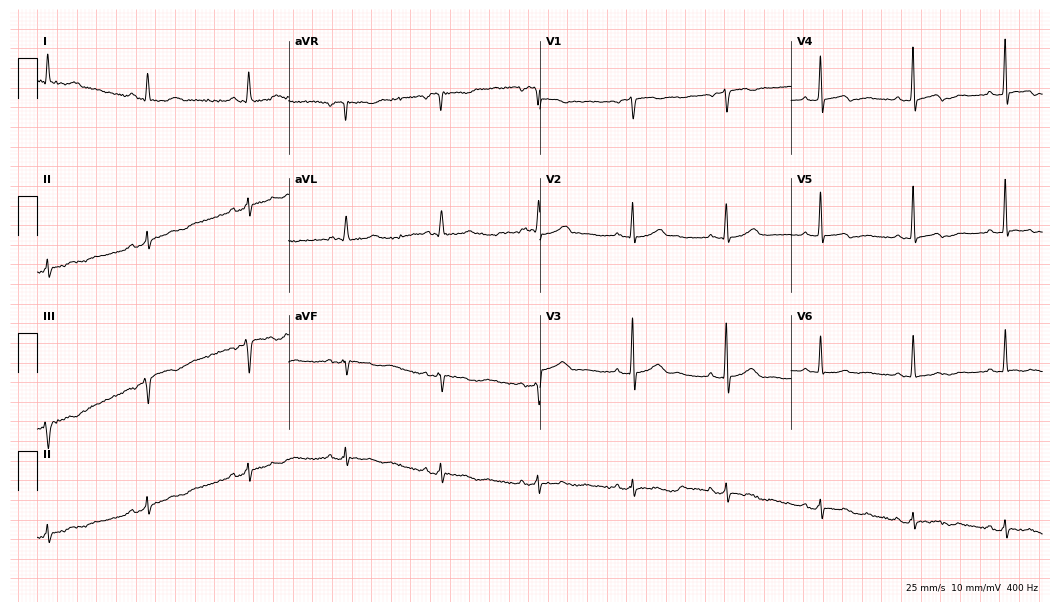
Electrocardiogram (10.2-second recording at 400 Hz), a woman, 74 years old. Overall reading on record: normal ECG.